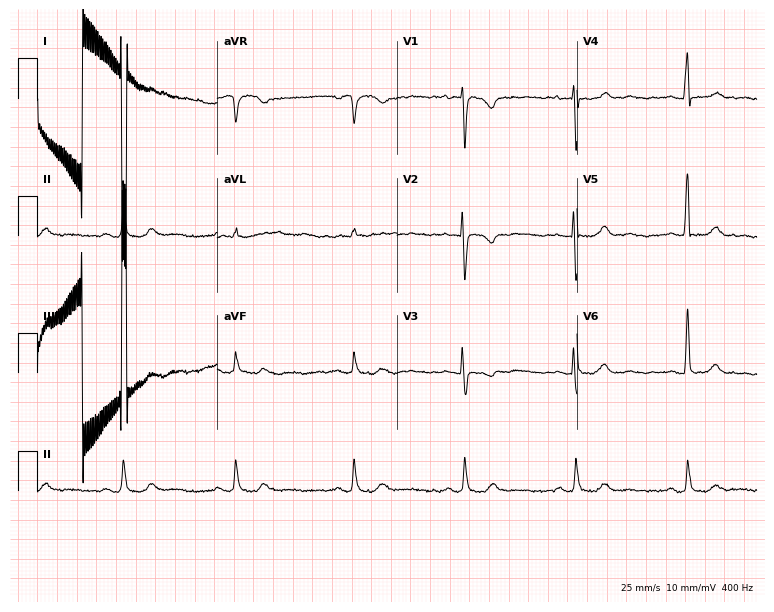
ECG (7.3-second recording at 400 Hz) — a female patient, 68 years old. Screened for six findings — first-degree AV block, right bundle branch block, left bundle branch block, sinus bradycardia, atrial fibrillation, sinus tachycardia — none is recorded.